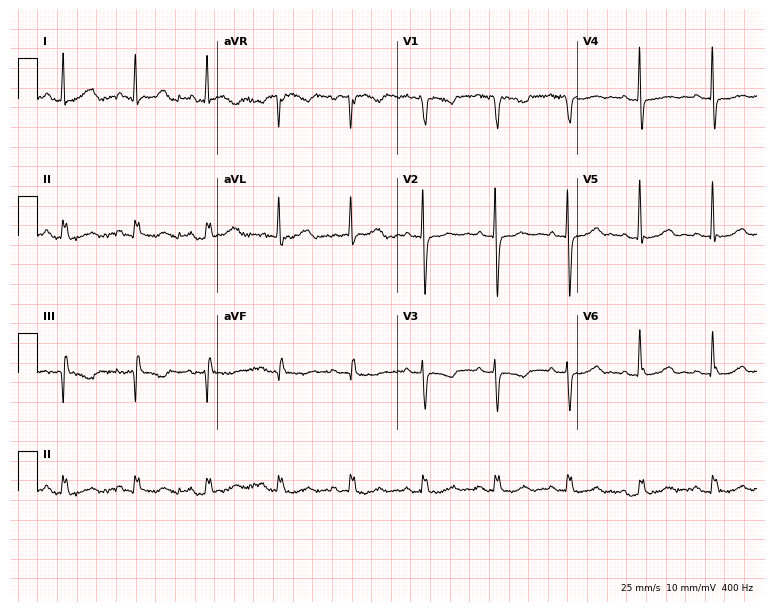
Resting 12-lead electrocardiogram (7.3-second recording at 400 Hz). Patient: a female, 83 years old. None of these six findings is recorded: first-degree AV block, right bundle branch block (RBBB), left bundle branch block (LBBB), sinus bradycardia, atrial fibrillation (AF), sinus tachycardia.